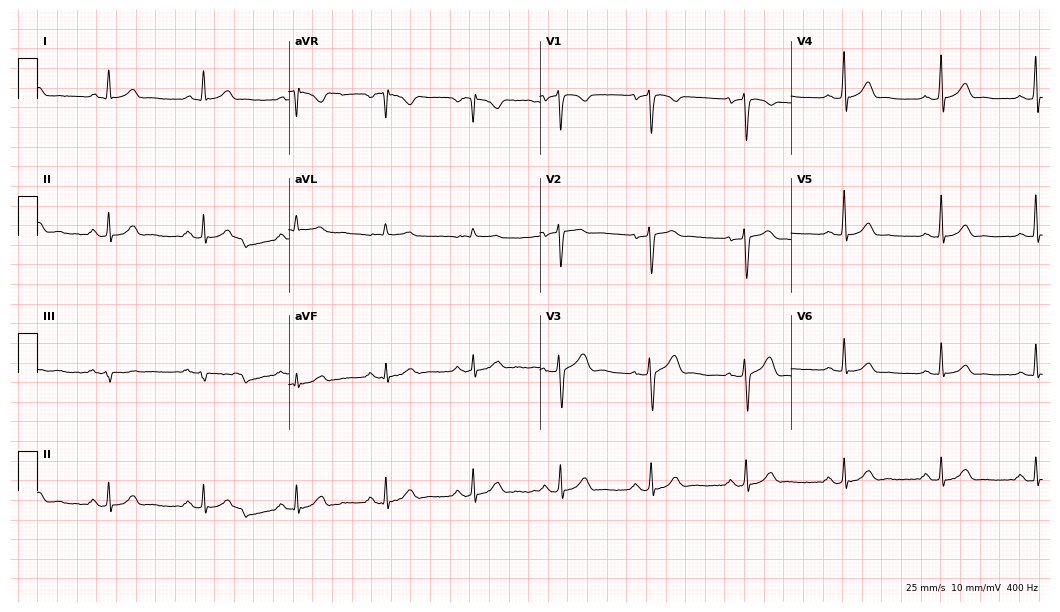
ECG — a male, 54 years old. Screened for six findings — first-degree AV block, right bundle branch block (RBBB), left bundle branch block (LBBB), sinus bradycardia, atrial fibrillation (AF), sinus tachycardia — none is recorded.